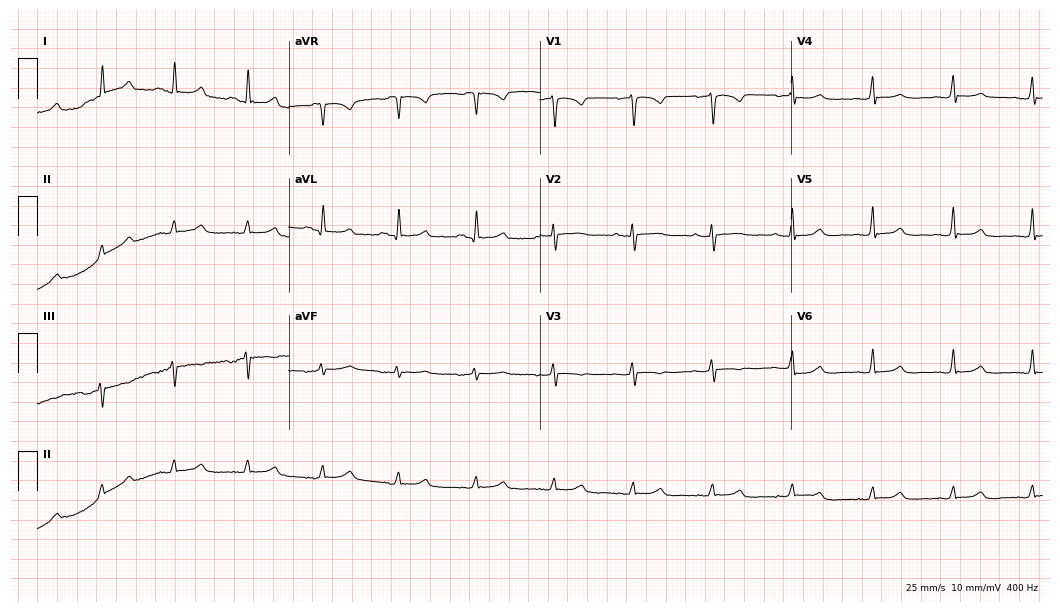
Electrocardiogram, a female patient, 55 years old. Overall reading on record: normal ECG.